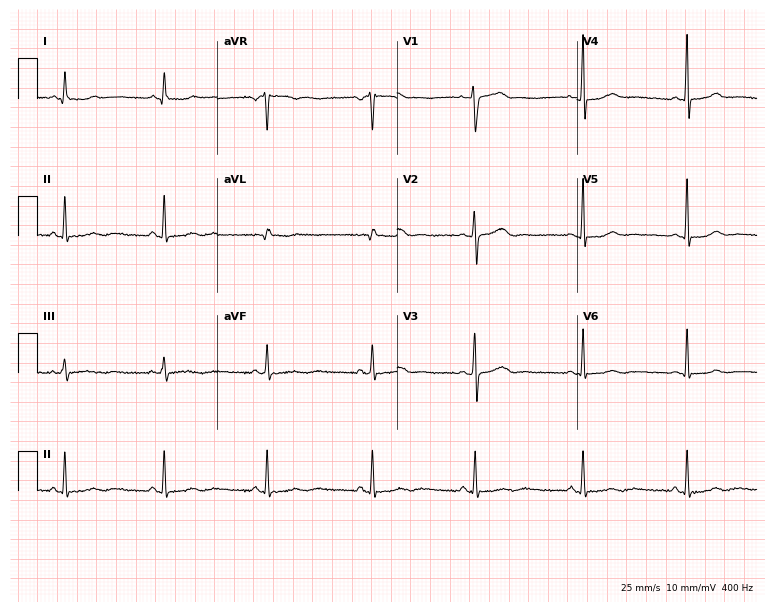
Electrocardiogram (7.3-second recording at 400 Hz), a 30-year-old female patient. Overall reading on record: normal ECG.